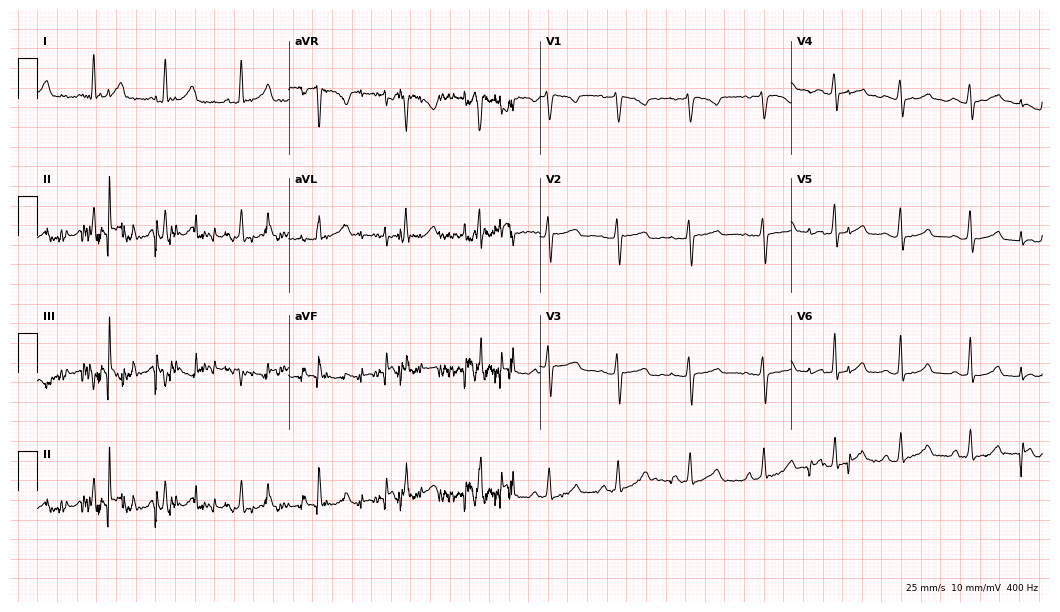
Resting 12-lead electrocardiogram (10.2-second recording at 400 Hz). Patient: a woman, 28 years old. None of these six findings is recorded: first-degree AV block, right bundle branch block, left bundle branch block, sinus bradycardia, atrial fibrillation, sinus tachycardia. Findings outside these six are not listed.